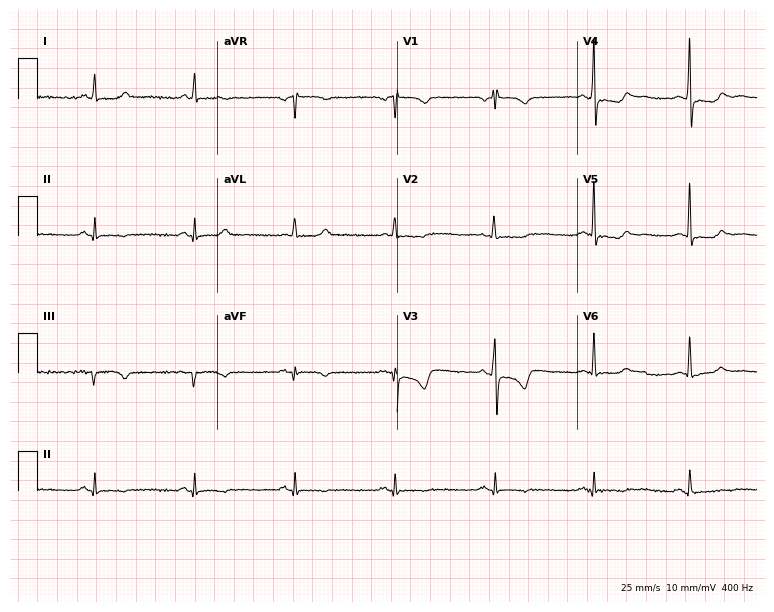
Electrocardiogram, a 62-year-old female. Of the six screened findings (first-degree AV block, right bundle branch block (RBBB), left bundle branch block (LBBB), sinus bradycardia, atrial fibrillation (AF), sinus tachycardia), none is recorded.